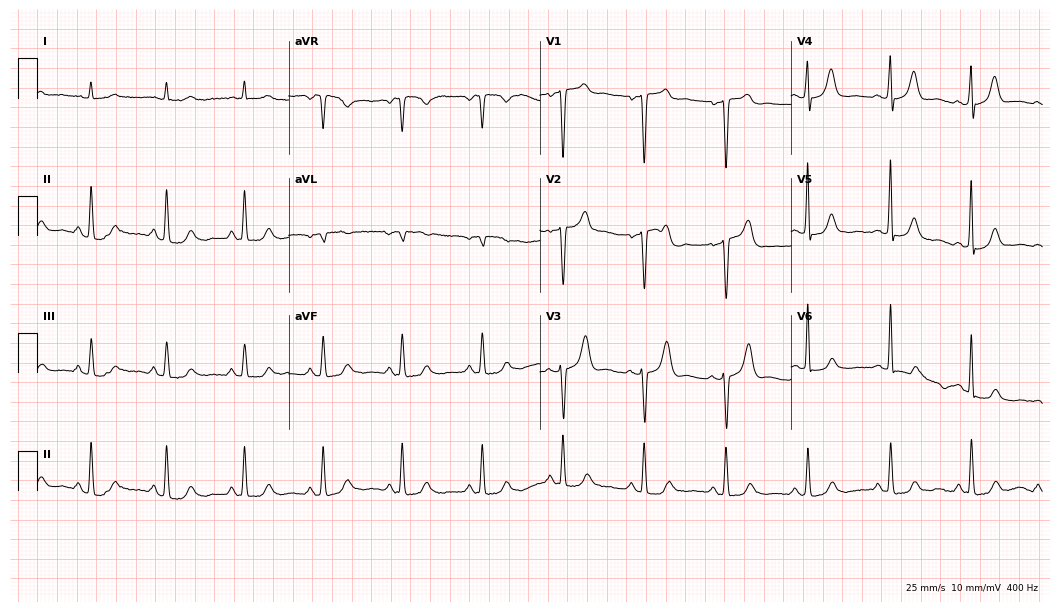
Resting 12-lead electrocardiogram. Patient: an 84-year-old male. None of these six findings is recorded: first-degree AV block, right bundle branch block (RBBB), left bundle branch block (LBBB), sinus bradycardia, atrial fibrillation (AF), sinus tachycardia.